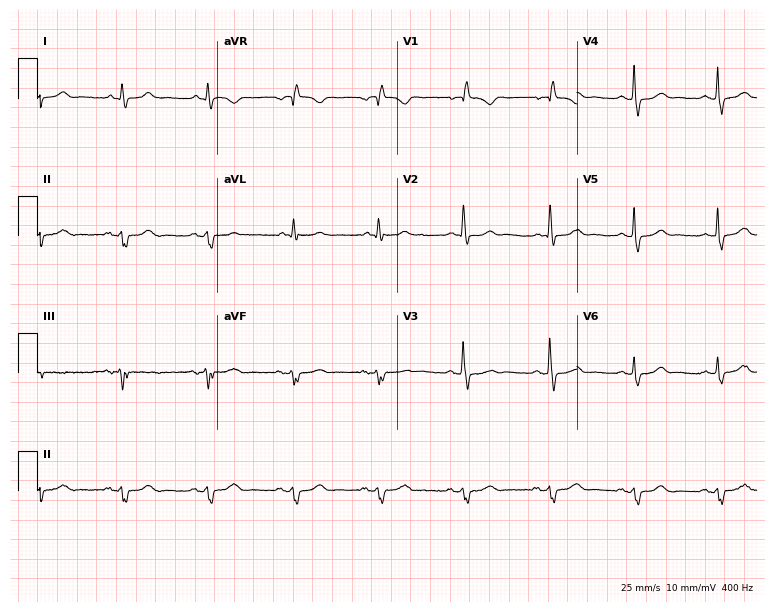
Standard 12-lead ECG recorded from a 66-year-old male (7.3-second recording at 400 Hz). None of these six findings is recorded: first-degree AV block, right bundle branch block (RBBB), left bundle branch block (LBBB), sinus bradycardia, atrial fibrillation (AF), sinus tachycardia.